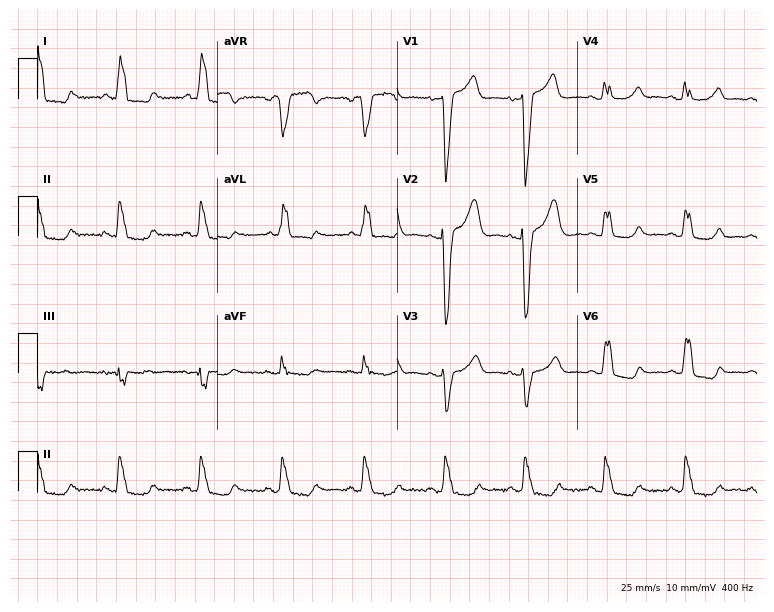
12-lead ECG (7.3-second recording at 400 Hz) from a female patient, 75 years old. Findings include left bundle branch block.